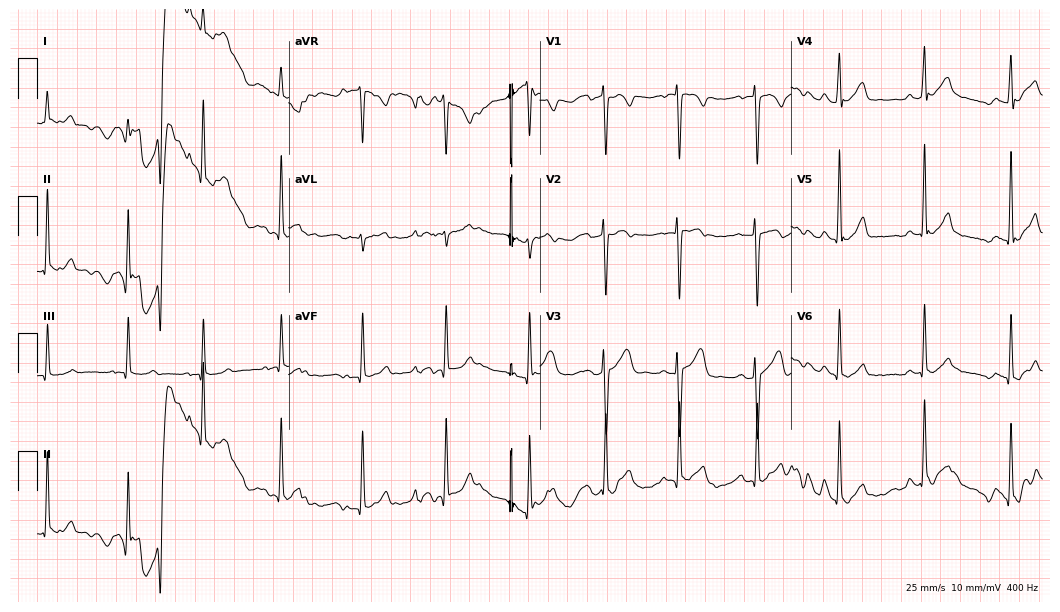
12-lead ECG from a 20-year-old female. Screened for six findings — first-degree AV block, right bundle branch block, left bundle branch block, sinus bradycardia, atrial fibrillation, sinus tachycardia — none is recorded. Other findings, if any, are not listed.